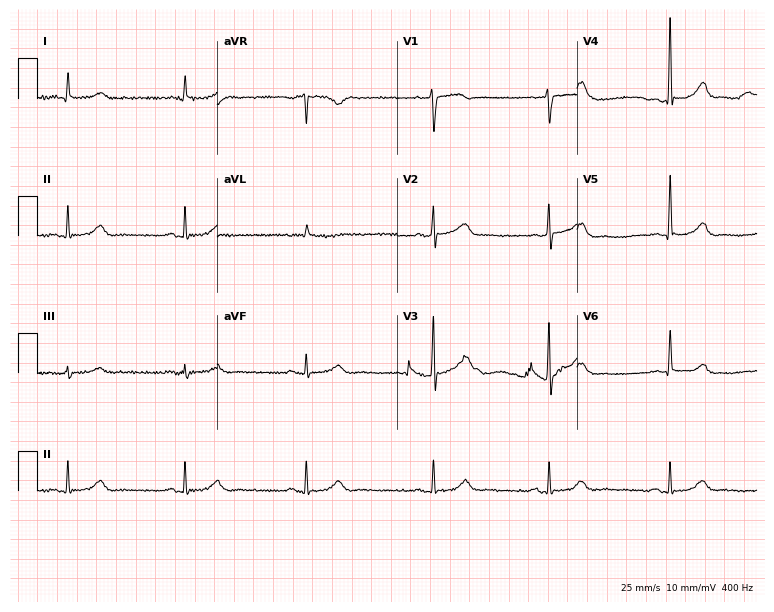
Standard 12-lead ECG recorded from a 72-year-old male. None of these six findings is recorded: first-degree AV block, right bundle branch block, left bundle branch block, sinus bradycardia, atrial fibrillation, sinus tachycardia.